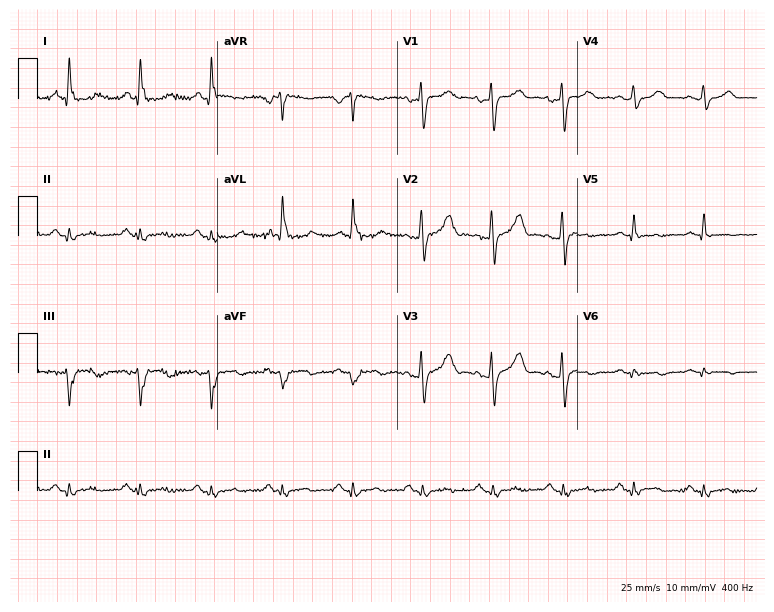
Electrocardiogram (7.3-second recording at 400 Hz), a female patient, 54 years old. Of the six screened findings (first-degree AV block, right bundle branch block, left bundle branch block, sinus bradycardia, atrial fibrillation, sinus tachycardia), none is recorded. Other findings, if any, are not listed.